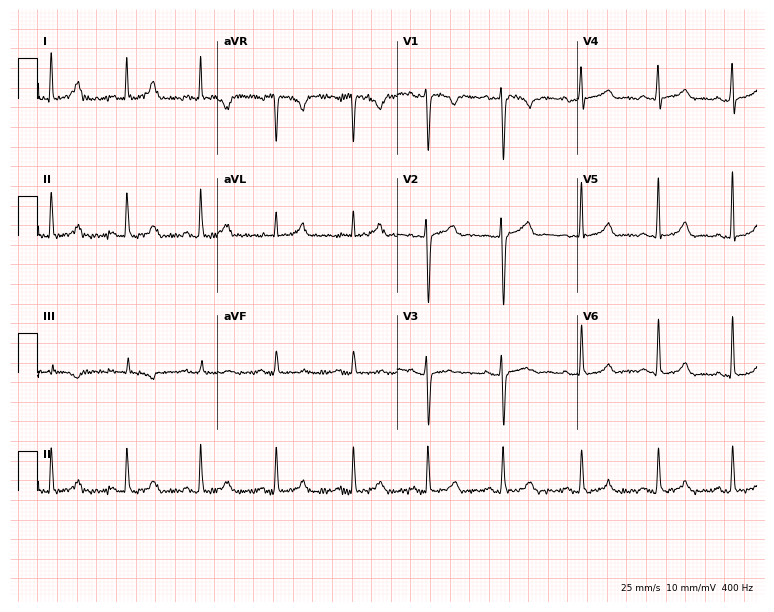
Resting 12-lead electrocardiogram. Patient: a 39-year-old female. Read as a normal ECG.